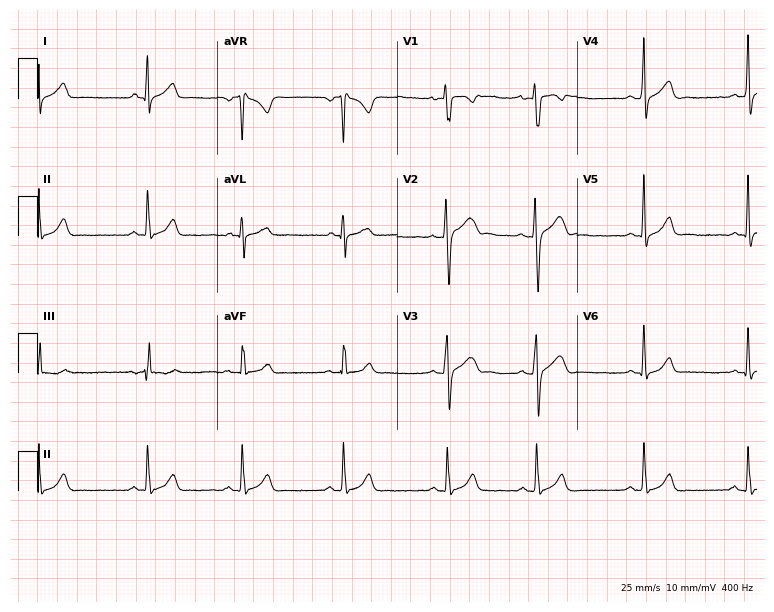
Electrocardiogram, a man, 19 years old. Overall reading on record: normal ECG.